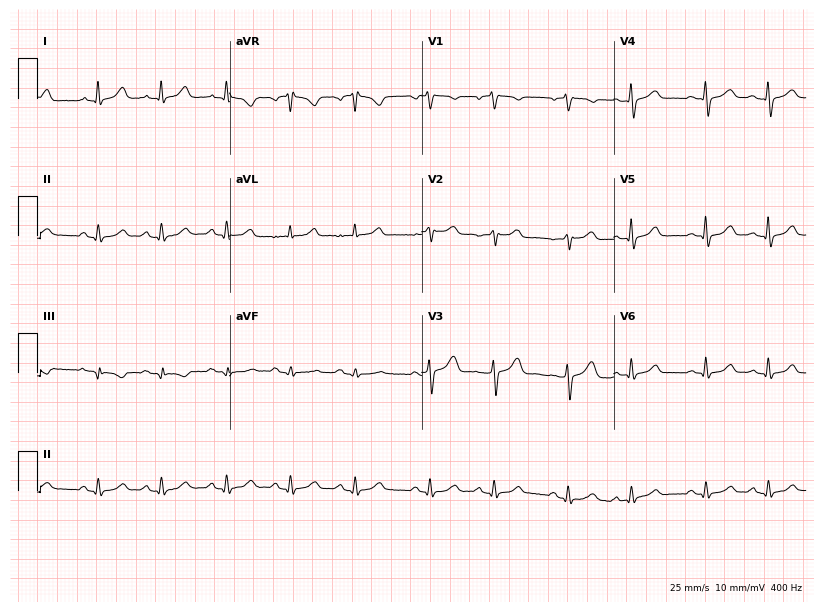
12-lead ECG from a woman, 61 years old (7.8-second recording at 400 Hz). Recorded interpretation: within normal limits.